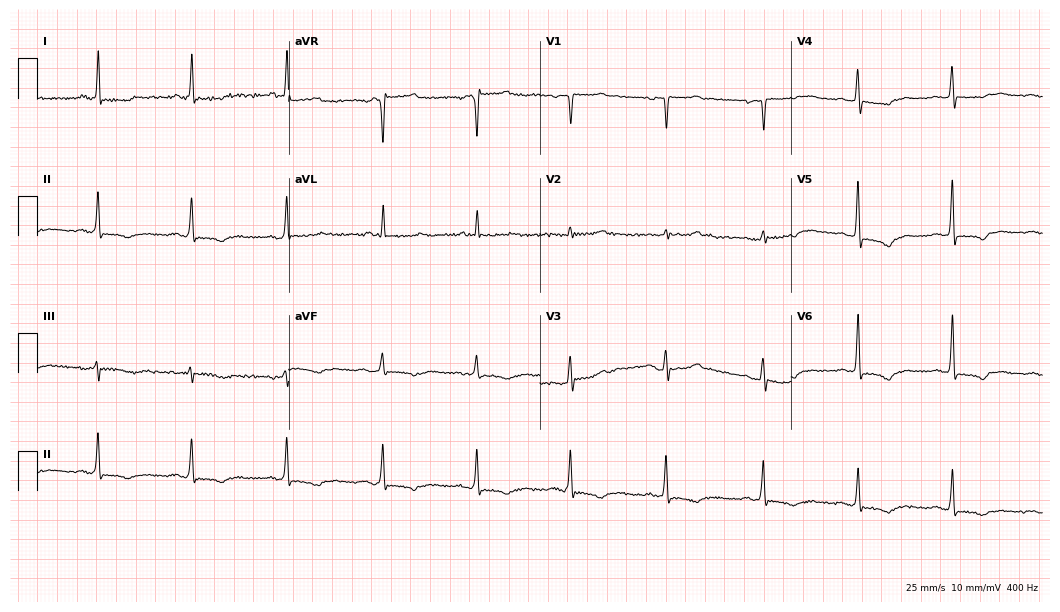
Resting 12-lead electrocardiogram. Patient: a female, 58 years old. None of these six findings is recorded: first-degree AV block, right bundle branch block, left bundle branch block, sinus bradycardia, atrial fibrillation, sinus tachycardia.